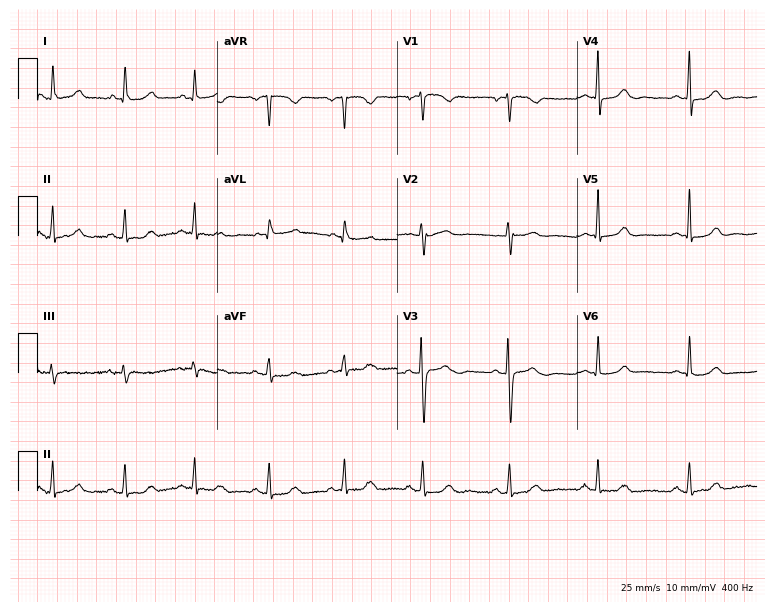
Standard 12-lead ECG recorded from a woman, 38 years old (7.3-second recording at 400 Hz). Read as a normal ECG.